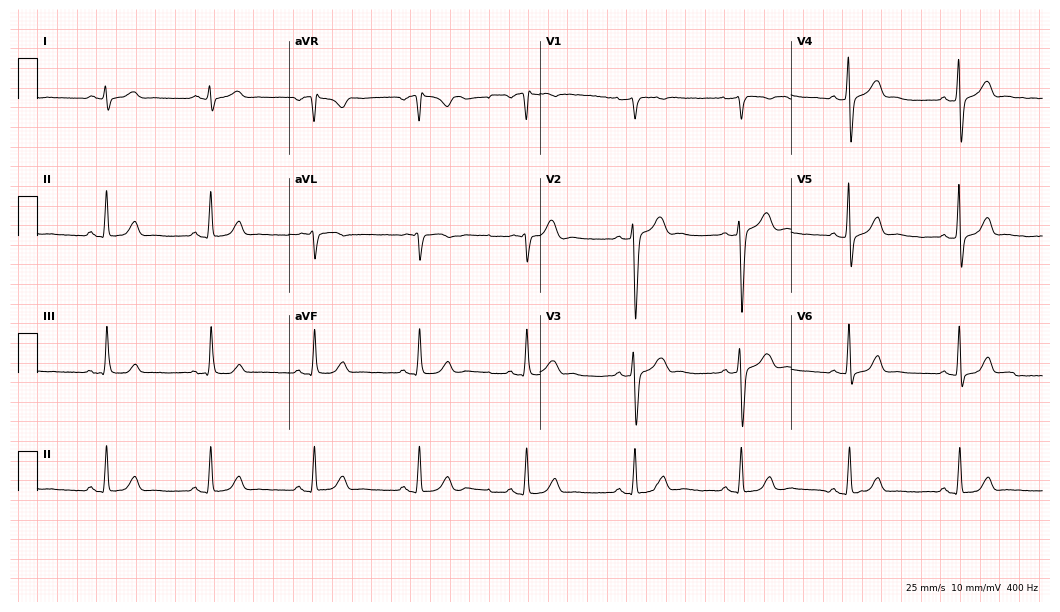
12-lead ECG (10.2-second recording at 400 Hz) from a male patient, 47 years old. Labelled as a normal ECG.